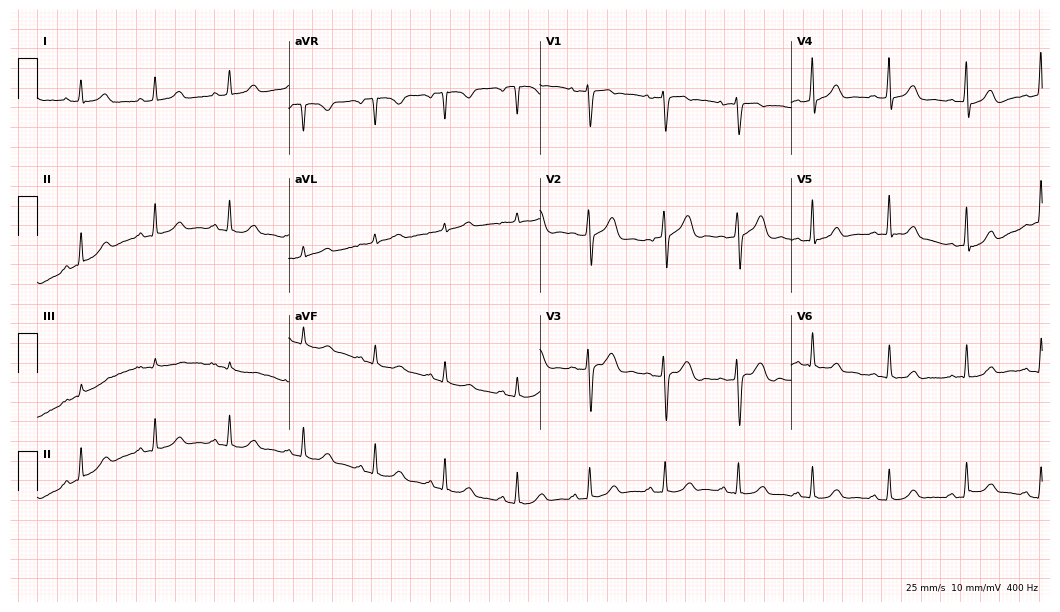
12-lead ECG from a 33-year-old female. Recorded interpretation: within normal limits.